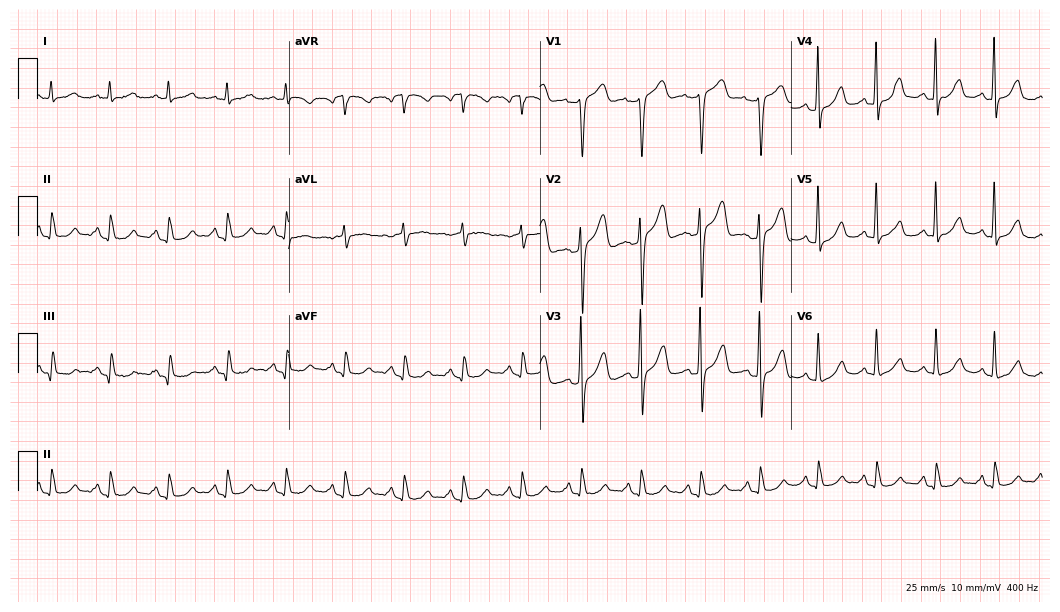
ECG (10.2-second recording at 400 Hz) — a female patient, 73 years old. Findings include sinus tachycardia (a sinus rate of 100 beats per minute or more).